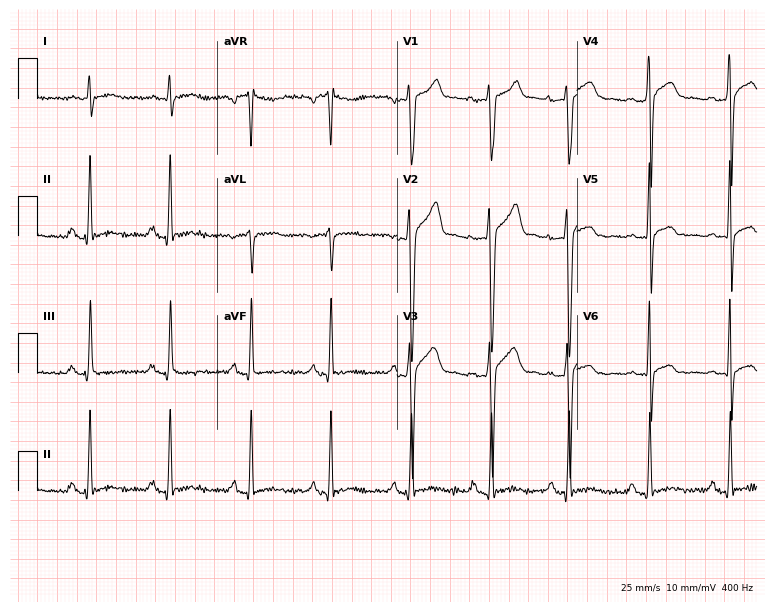
Resting 12-lead electrocardiogram (7.3-second recording at 400 Hz). Patient: a 40-year-old male. None of these six findings is recorded: first-degree AV block, right bundle branch block, left bundle branch block, sinus bradycardia, atrial fibrillation, sinus tachycardia.